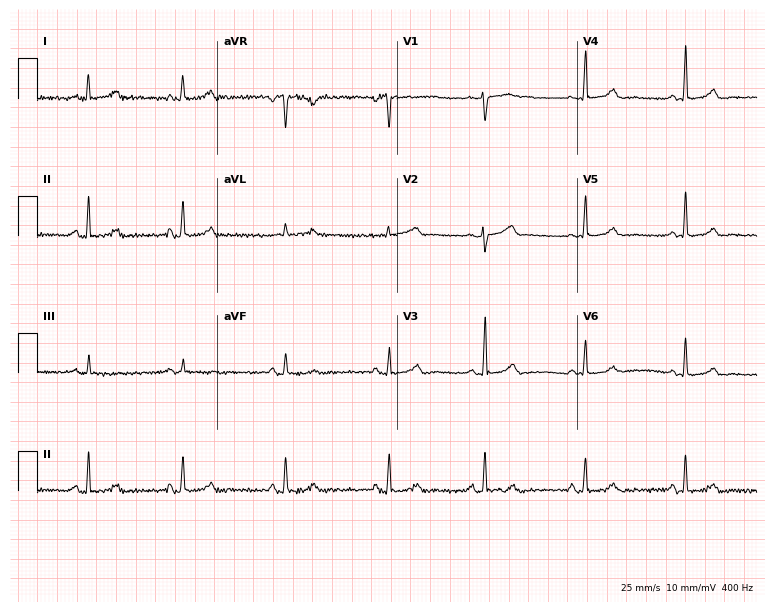
12-lead ECG (7.3-second recording at 400 Hz) from a 56-year-old female. Labelled as a normal ECG.